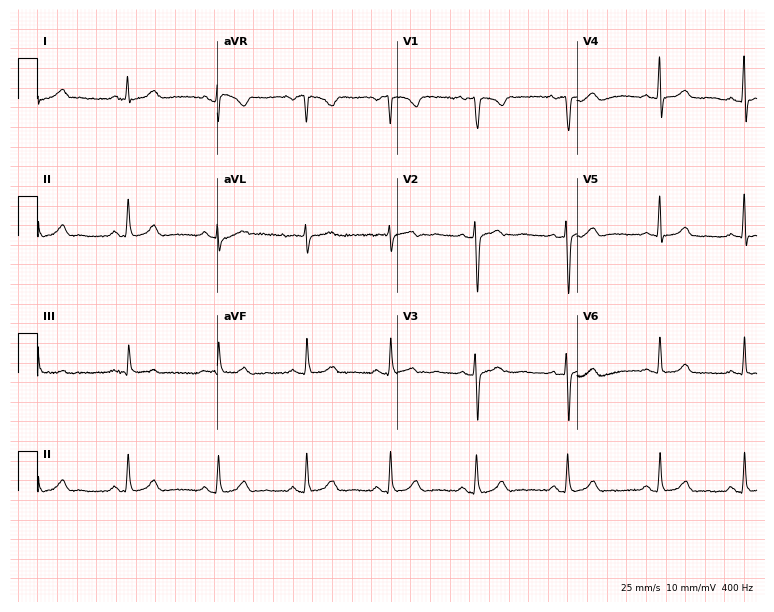
Resting 12-lead electrocardiogram. Patient: a woman, 25 years old. None of these six findings is recorded: first-degree AV block, right bundle branch block, left bundle branch block, sinus bradycardia, atrial fibrillation, sinus tachycardia.